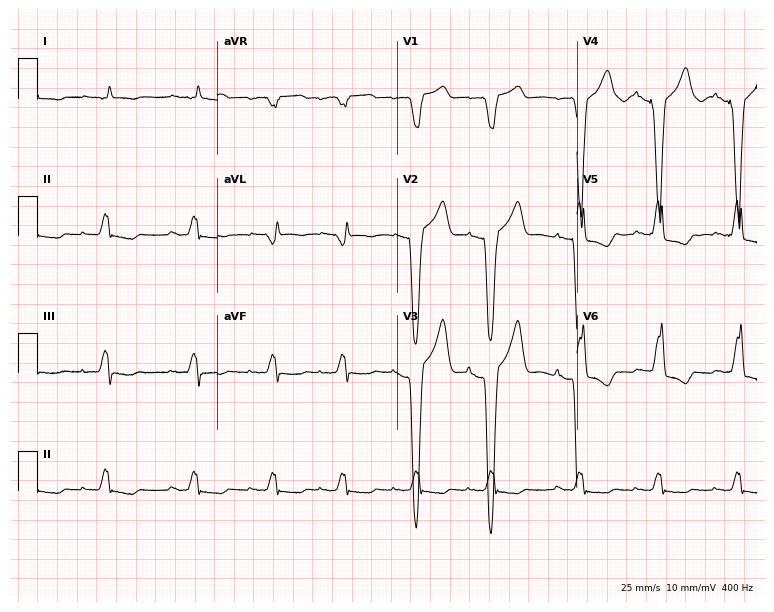
12-lead ECG (7.3-second recording at 400 Hz) from a 79-year-old man. Findings include left bundle branch block (LBBB).